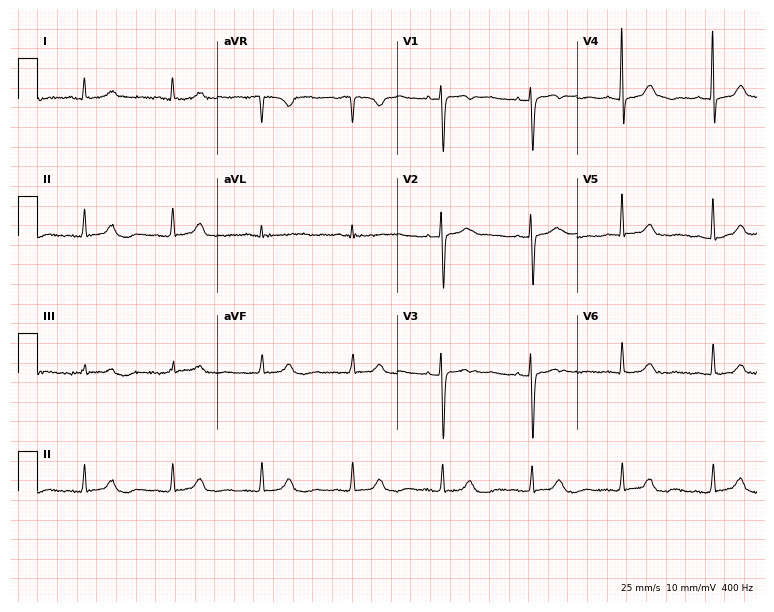
Electrocardiogram (7.3-second recording at 400 Hz), a female patient, 68 years old. Overall reading on record: normal ECG.